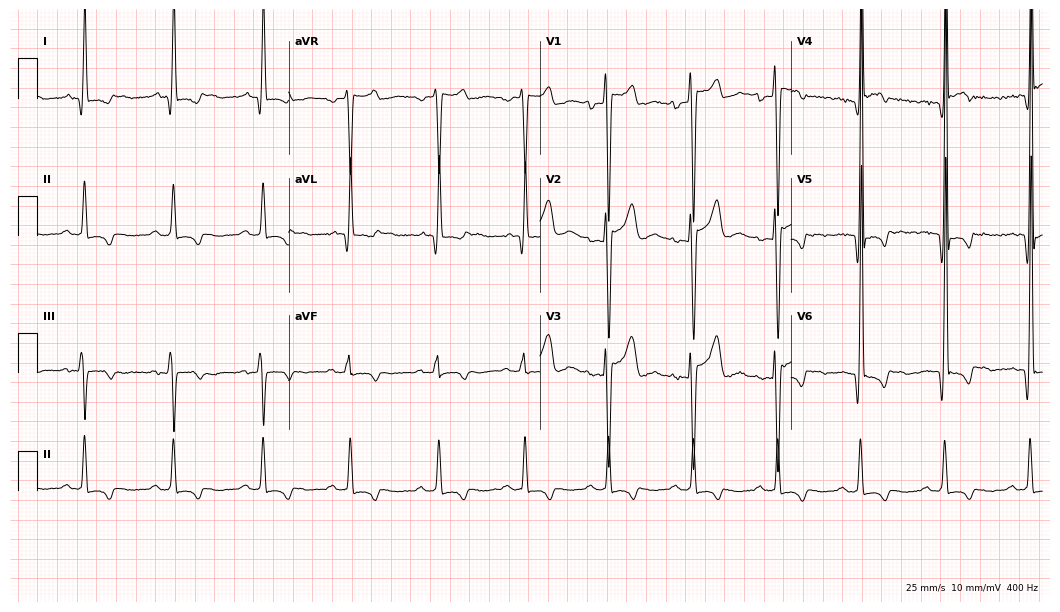
Standard 12-lead ECG recorded from a male patient, 24 years old (10.2-second recording at 400 Hz). None of these six findings is recorded: first-degree AV block, right bundle branch block (RBBB), left bundle branch block (LBBB), sinus bradycardia, atrial fibrillation (AF), sinus tachycardia.